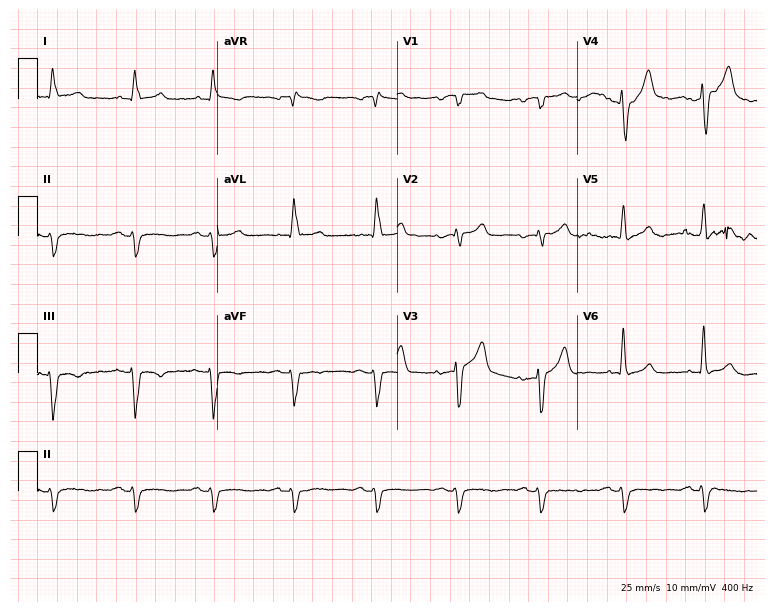
Electrocardiogram (7.3-second recording at 400 Hz), a man, 83 years old. Of the six screened findings (first-degree AV block, right bundle branch block, left bundle branch block, sinus bradycardia, atrial fibrillation, sinus tachycardia), none is recorded. Findings outside these six are not listed.